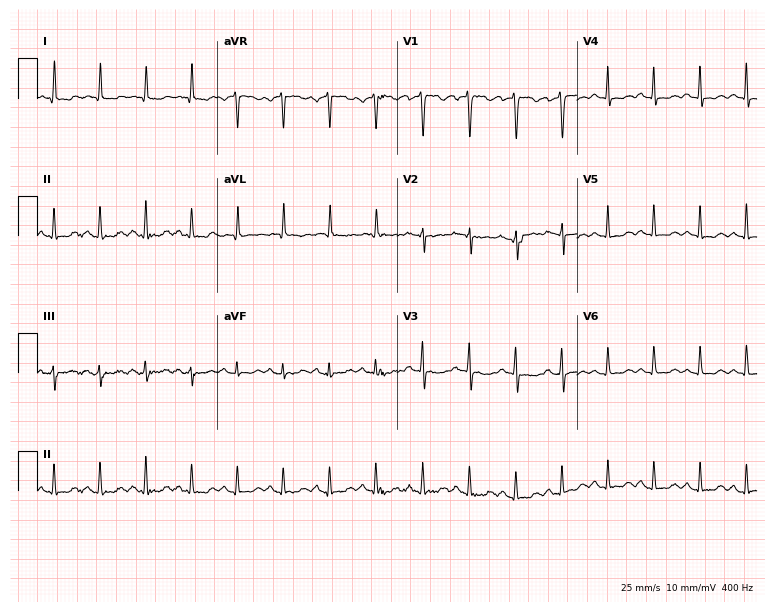
Standard 12-lead ECG recorded from a female patient, 47 years old (7.3-second recording at 400 Hz). The tracing shows sinus tachycardia (a sinus rate of 100 beats per minute or more).